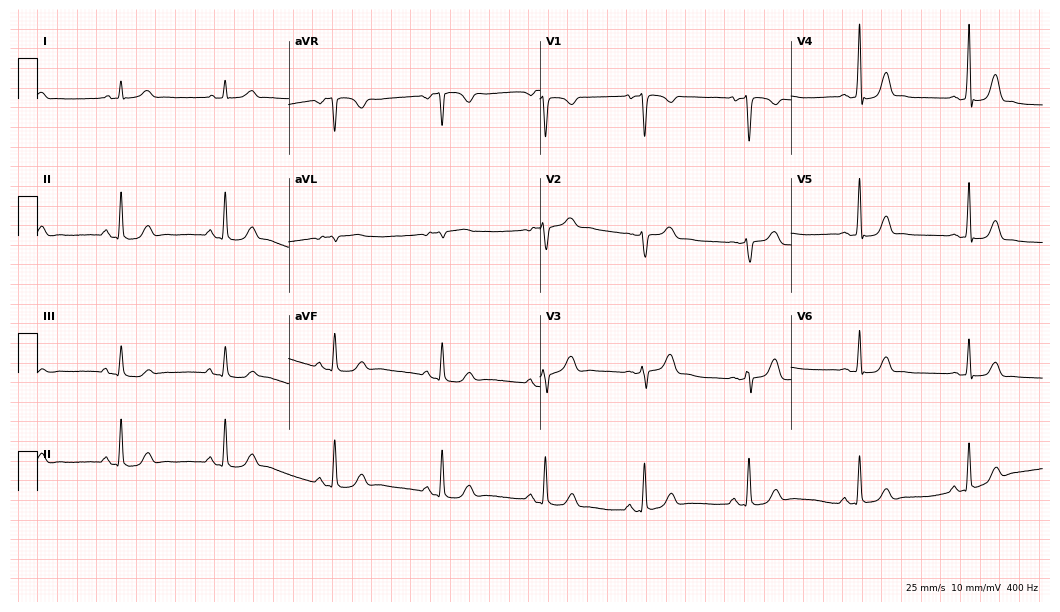
ECG (10.2-second recording at 400 Hz) — a 44-year-old woman. Screened for six findings — first-degree AV block, right bundle branch block, left bundle branch block, sinus bradycardia, atrial fibrillation, sinus tachycardia — none is recorded. Other findings, if any, are not listed.